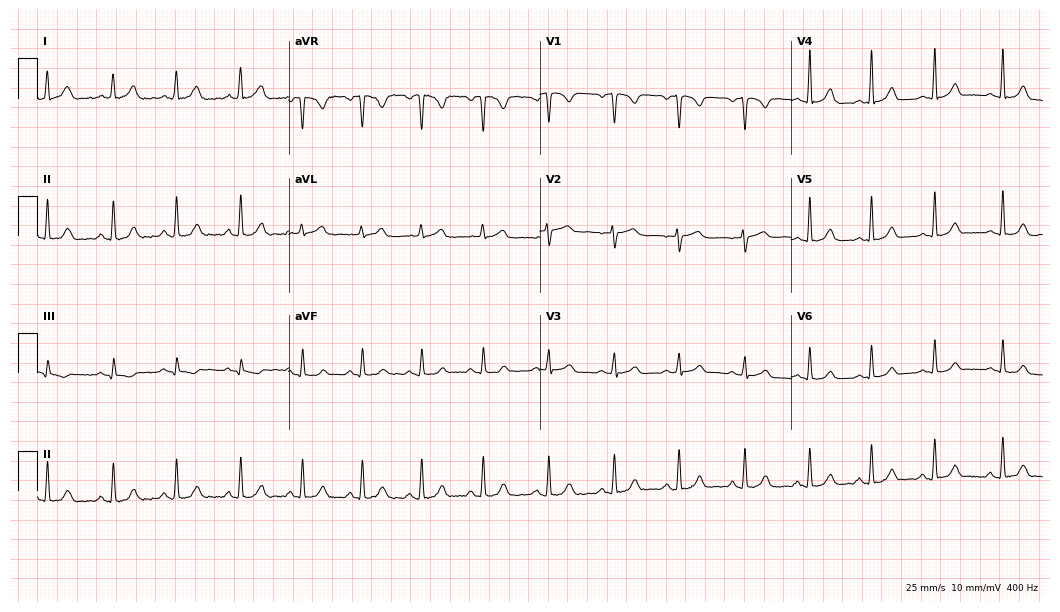
Standard 12-lead ECG recorded from a female, 37 years old (10.2-second recording at 400 Hz). None of these six findings is recorded: first-degree AV block, right bundle branch block, left bundle branch block, sinus bradycardia, atrial fibrillation, sinus tachycardia.